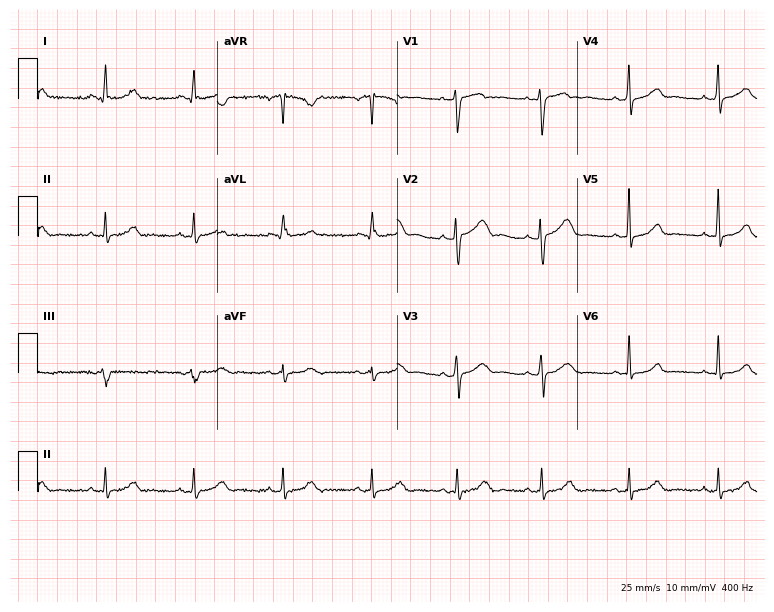
ECG — a 40-year-old woman. Labelled as a normal ECG.